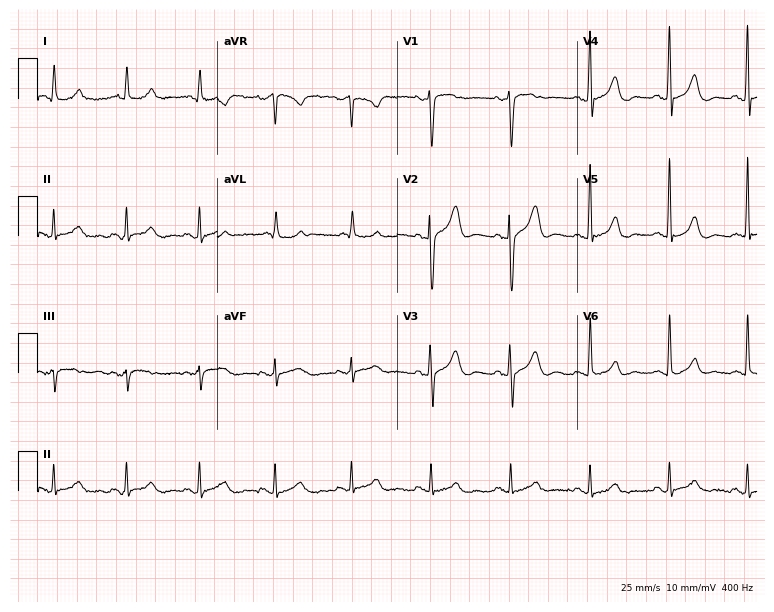
Electrocardiogram, a man, 56 years old. Of the six screened findings (first-degree AV block, right bundle branch block, left bundle branch block, sinus bradycardia, atrial fibrillation, sinus tachycardia), none is recorded. Only these six findings were labelled.